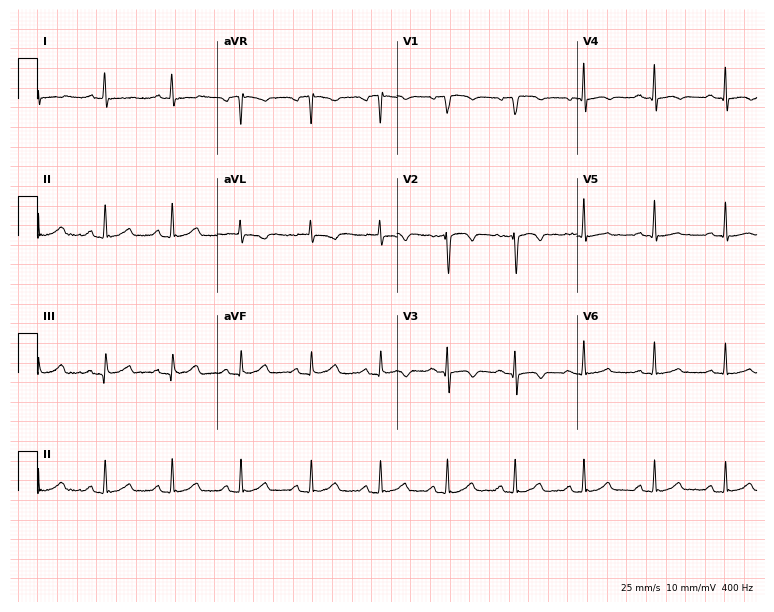
Standard 12-lead ECG recorded from a 73-year-old female patient. Read as a normal ECG.